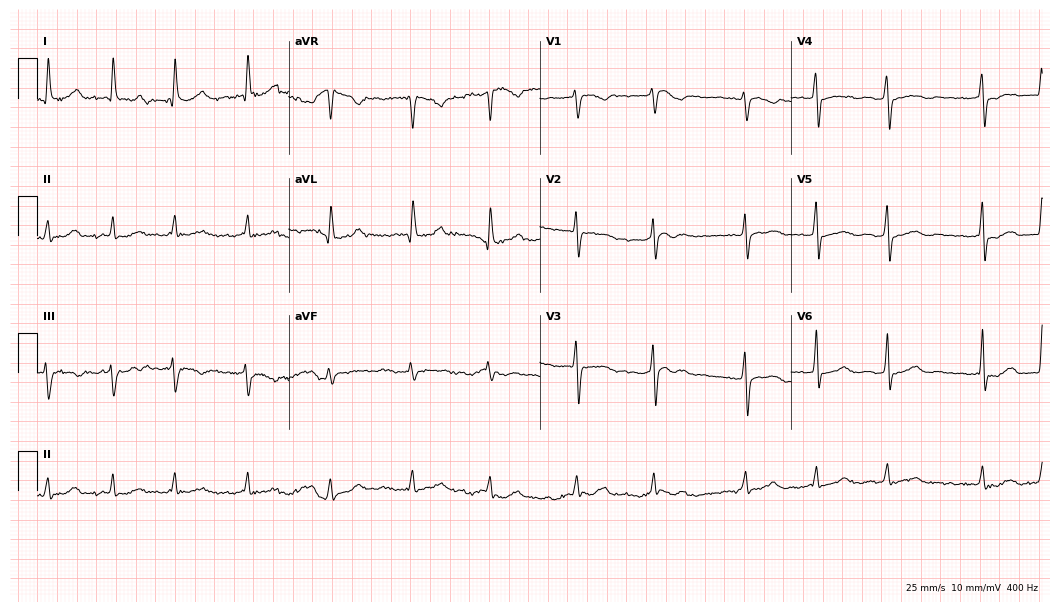
ECG — a 79-year-old female. Findings include atrial fibrillation (AF).